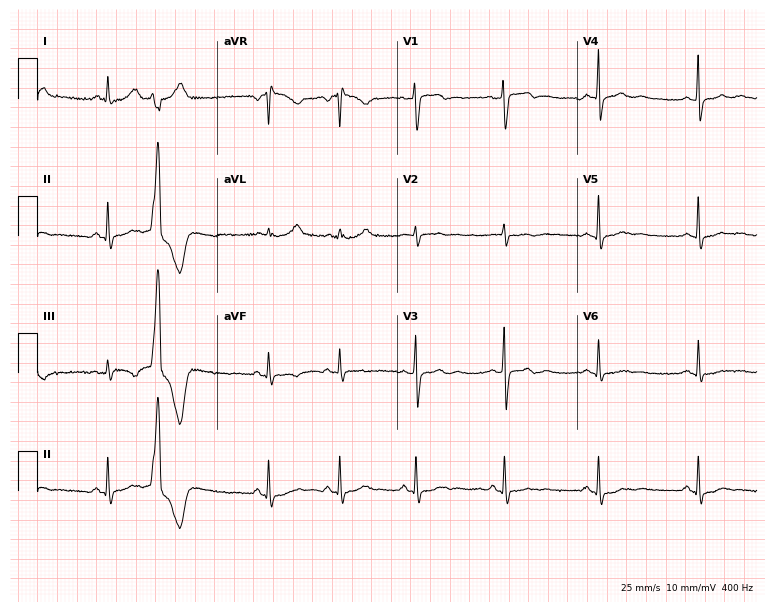
Electrocardiogram, a male patient, 33 years old. Of the six screened findings (first-degree AV block, right bundle branch block, left bundle branch block, sinus bradycardia, atrial fibrillation, sinus tachycardia), none is recorded.